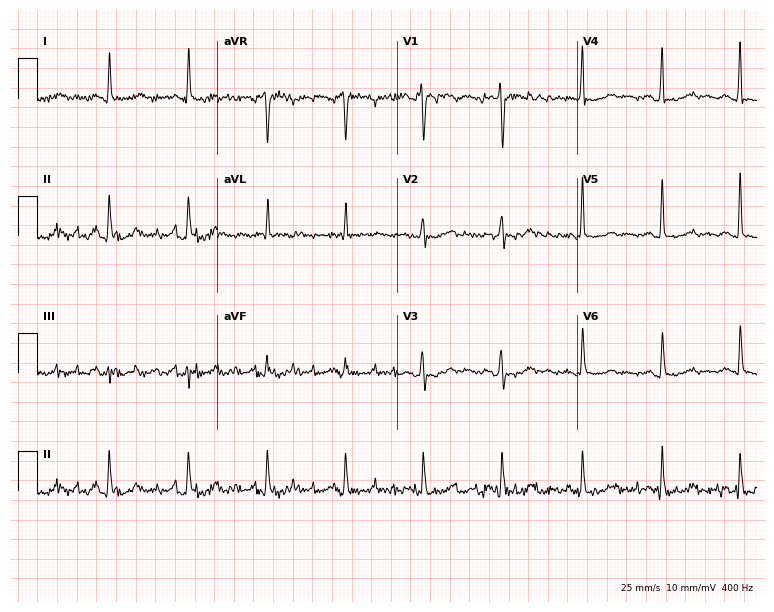
Standard 12-lead ECG recorded from a woman, 59 years old (7.3-second recording at 400 Hz). None of these six findings is recorded: first-degree AV block, right bundle branch block (RBBB), left bundle branch block (LBBB), sinus bradycardia, atrial fibrillation (AF), sinus tachycardia. Only these six findings were labelled.